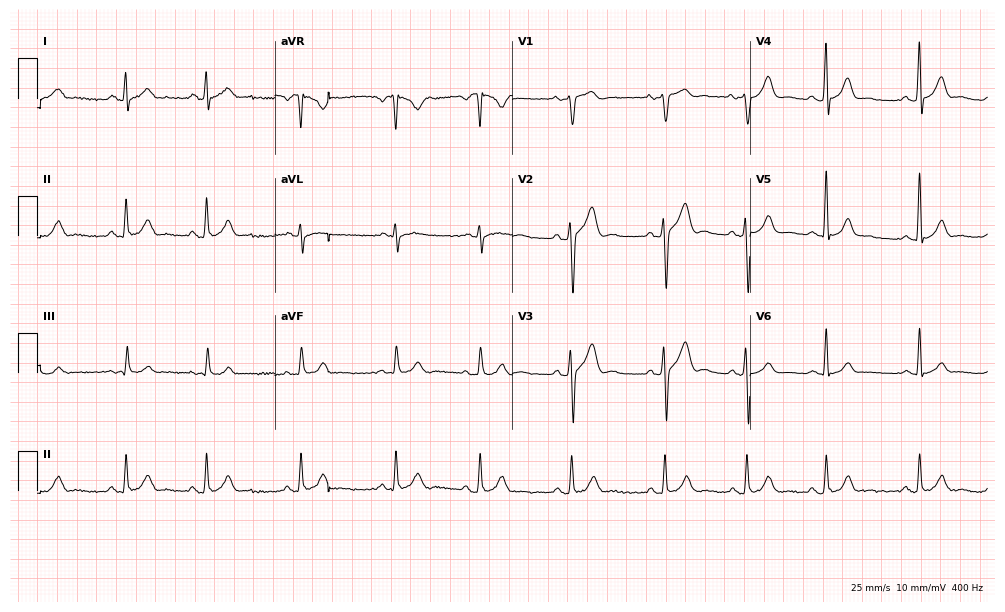
Electrocardiogram, a 20-year-old male patient. Overall reading on record: normal ECG.